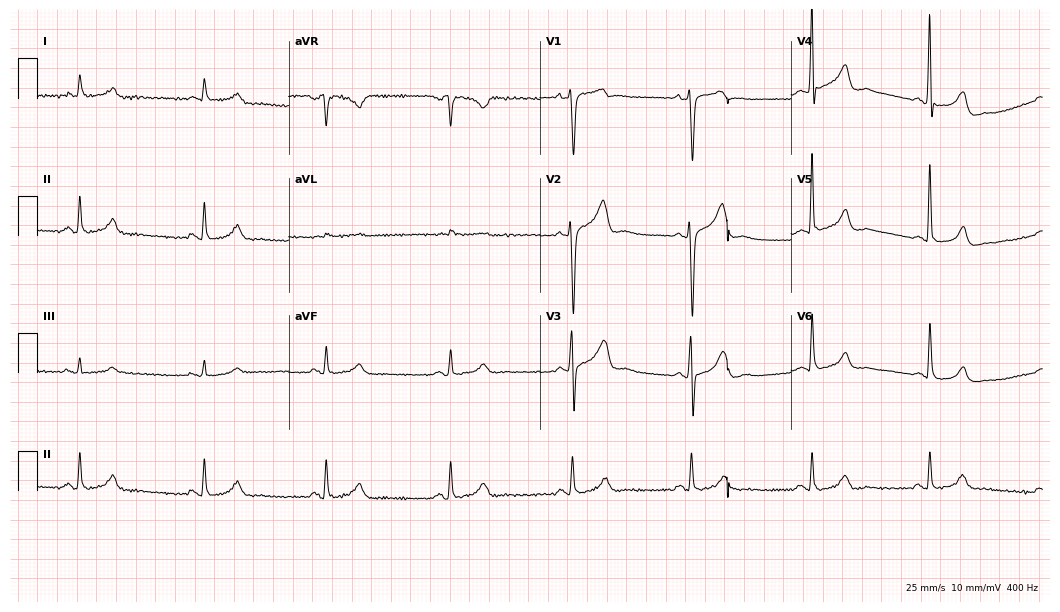
Resting 12-lead electrocardiogram (10.2-second recording at 400 Hz). Patient: a 61-year-old woman. The tracing shows sinus bradycardia (a sinus rate of 50 beats per minute or less).